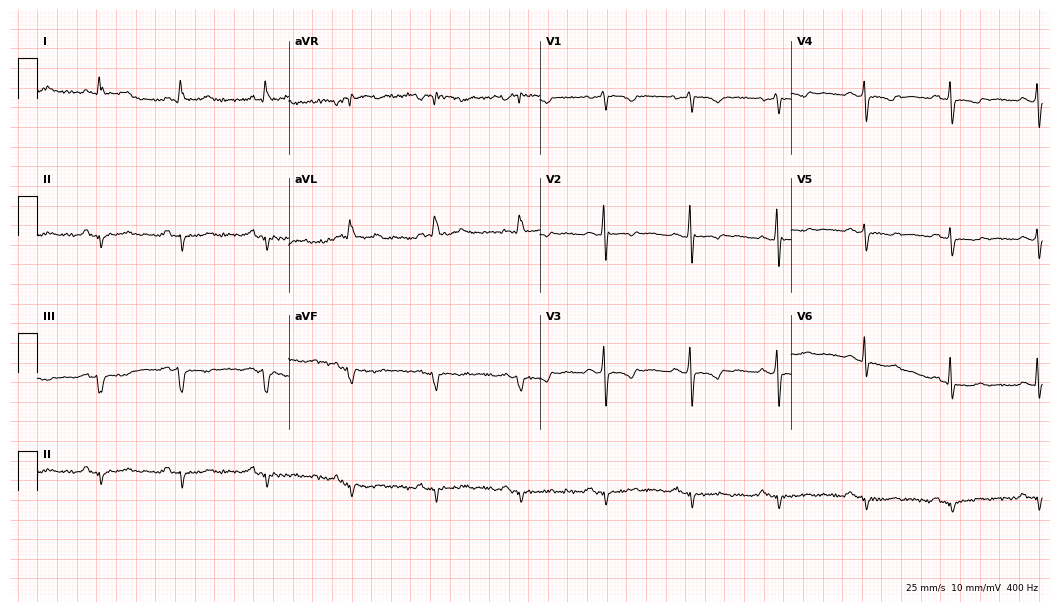
12-lead ECG from a male, 66 years old. No first-degree AV block, right bundle branch block, left bundle branch block, sinus bradycardia, atrial fibrillation or sinus tachycardia recorded for this tracing. Only these six findings were labelled.